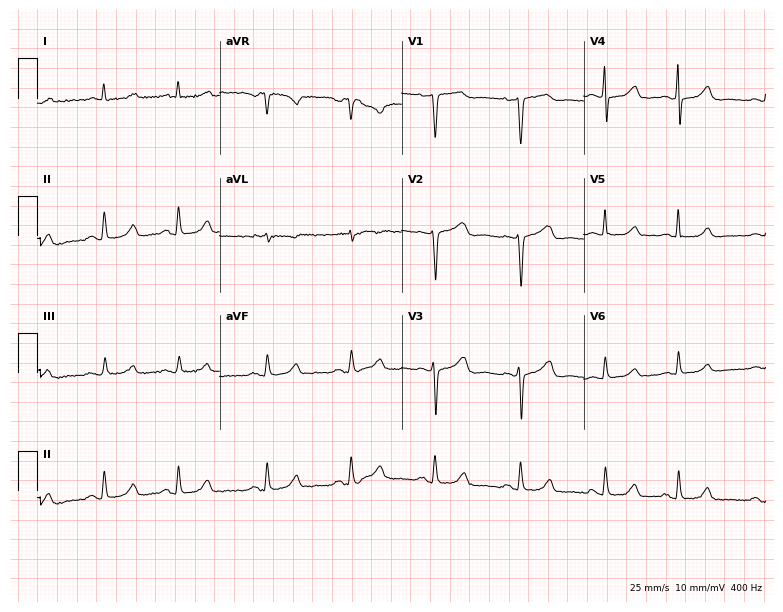
Electrocardiogram (7.4-second recording at 400 Hz), a 55-year-old female. Of the six screened findings (first-degree AV block, right bundle branch block, left bundle branch block, sinus bradycardia, atrial fibrillation, sinus tachycardia), none is recorded.